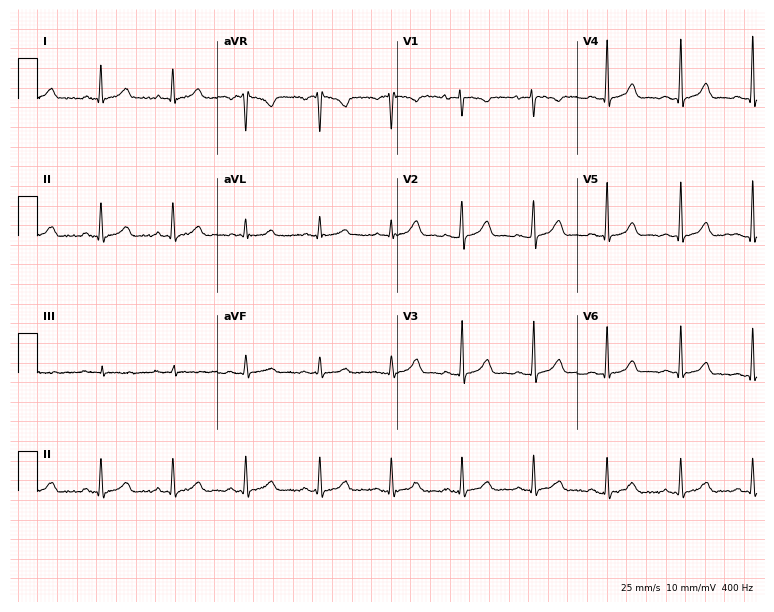
12-lead ECG from a woman, 41 years old (7.3-second recording at 400 Hz). No first-degree AV block, right bundle branch block, left bundle branch block, sinus bradycardia, atrial fibrillation or sinus tachycardia recorded for this tracing. Only these six findings were labelled.